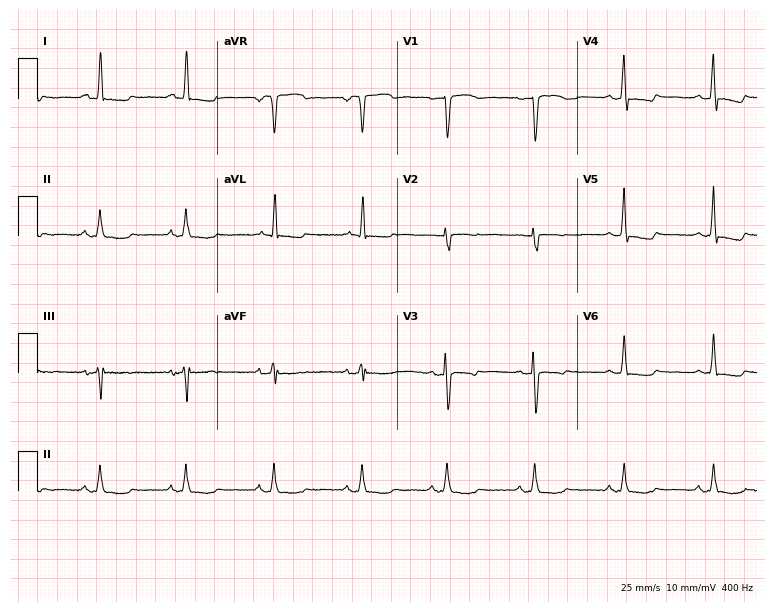
Electrocardiogram, a 64-year-old female patient. Of the six screened findings (first-degree AV block, right bundle branch block, left bundle branch block, sinus bradycardia, atrial fibrillation, sinus tachycardia), none is recorded. Only these six findings were labelled.